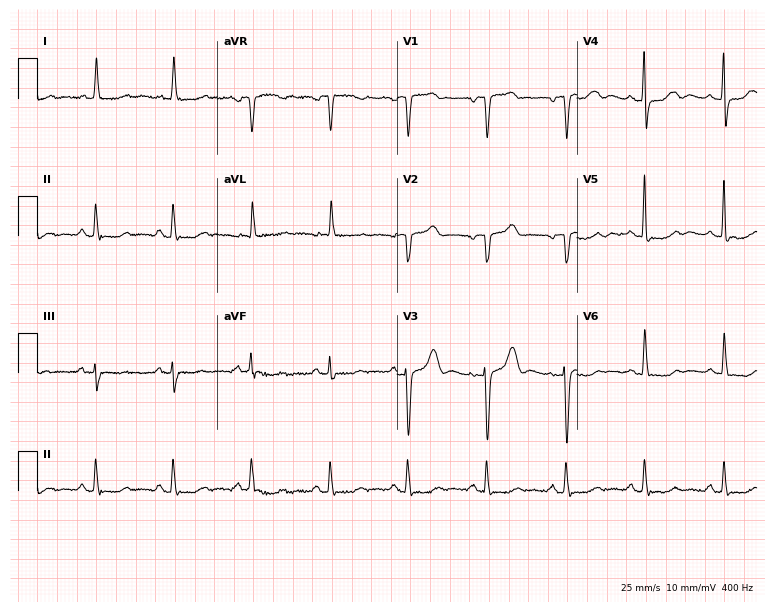
Resting 12-lead electrocardiogram. Patient: a 78-year-old female. None of these six findings is recorded: first-degree AV block, right bundle branch block, left bundle branch block, sinus bradycardia, atrial fibrillation, sinus tachycardia. Findings outside these six are not listed.